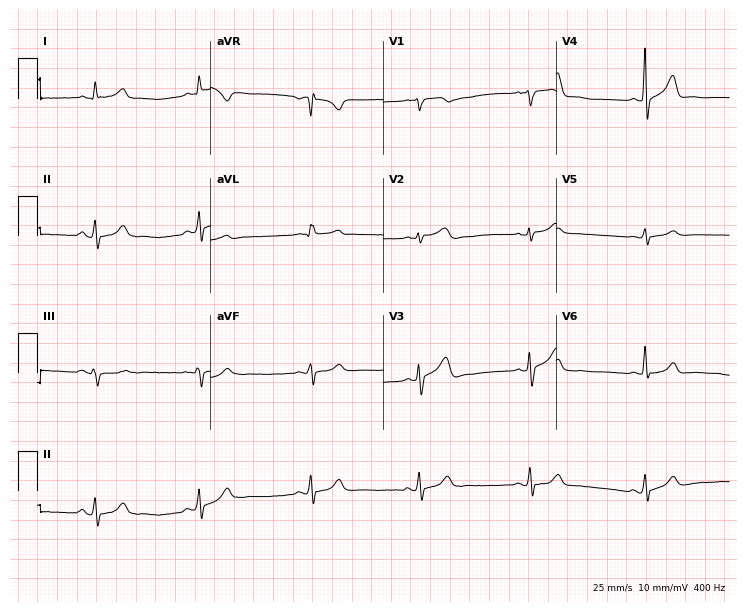
Resting 12-lead electrocardiogram. Patient: a 32-year-old man. Read as a normal ECG.